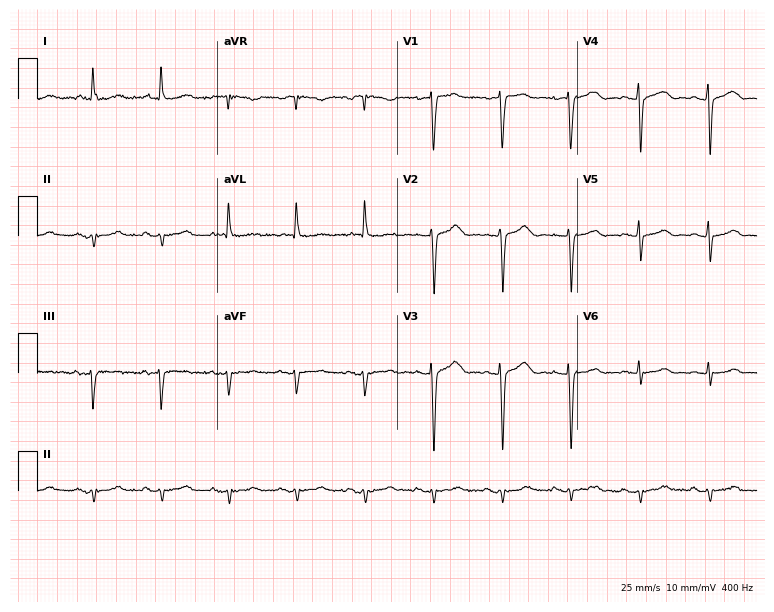
Electrocardiogram, a female patient, 87 years old. Of the six screened findings (first-degree AV block, right bundle branch block (RBBB), left bundle branch block (LBBB), sinus bradycardia, atrial fibrillation (AF), sinus tachycardia), none is recorded.